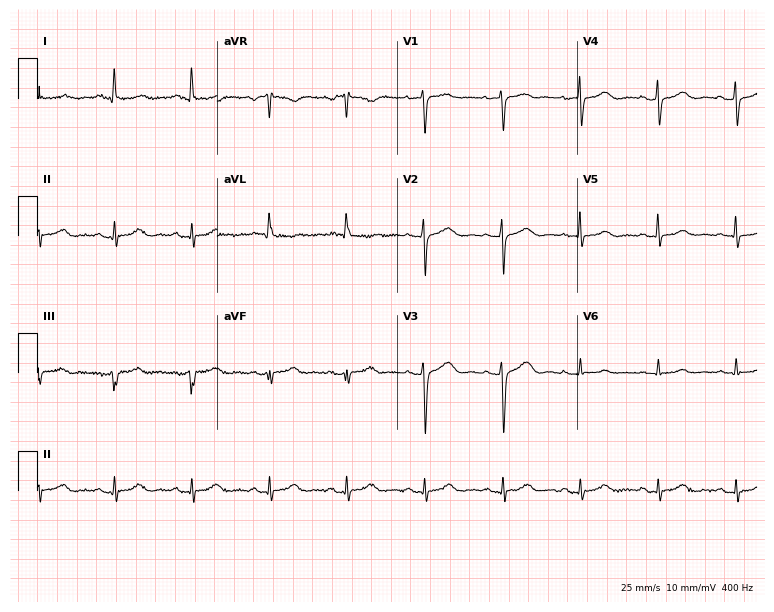
ECG — a 71-year-old female. Screened for six findings — first-degree AV block, right bundle branch block, left bundle branch block, sinus bradycardia, atrial fibrillation, sinus tachycardia — none is recorded. Only these six findings were labelled.